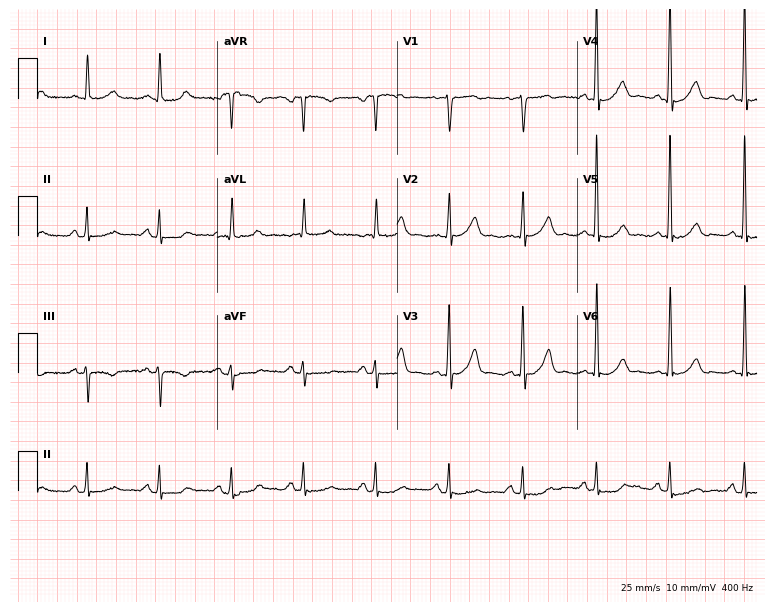
Resting 12-lead electrocardiogram (7.3-second recording at 400 Hz). Patient: a male, 67 years old. None of these six findings is recorded: first-degree AV block, right bundle branch block, left bundle branch block, sinus bradycardia, atrial fibrillation, sinus tachycardia.